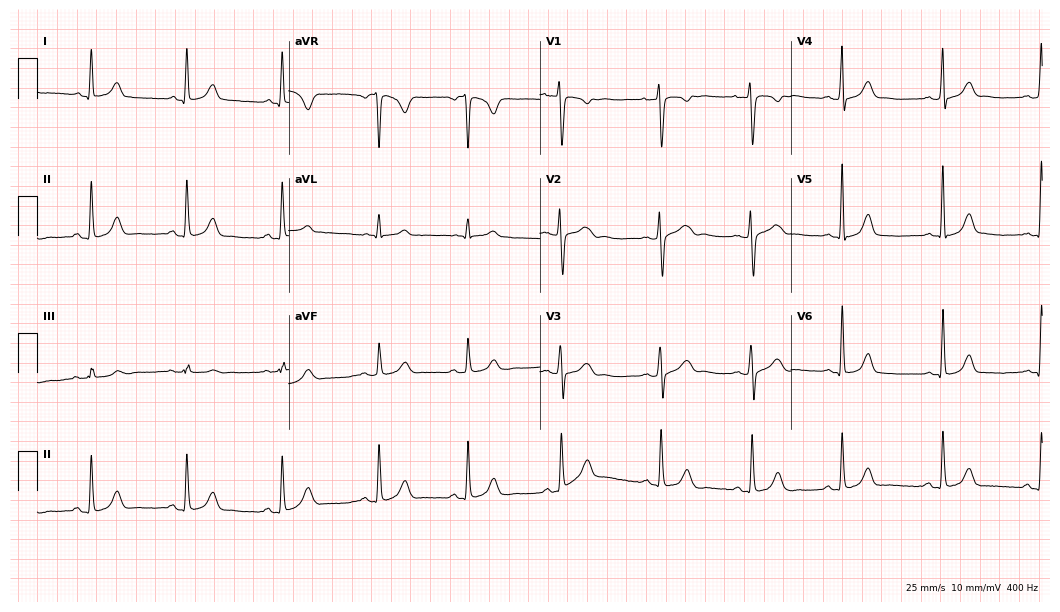
Resting 12-lead electrocardiogram. Patient: a 26-year-old female. None of these six findings is recorded: first-degree AV block, right bundle branch block, left bundle branch block, sinus bradycardia, atrial fibrillation, sinus tachycardia.